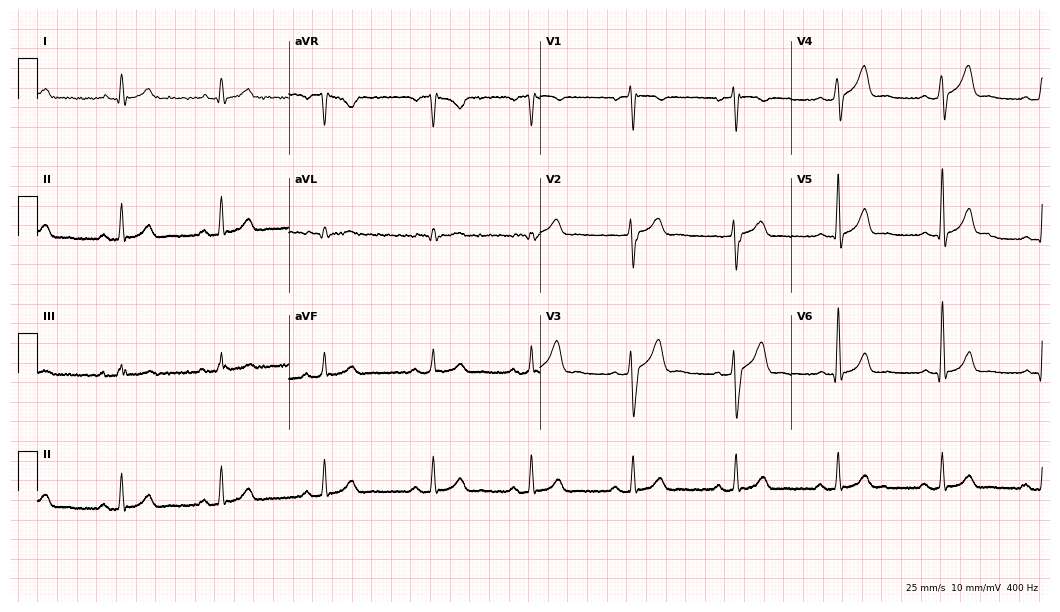
12-lead ECG from a 64-year-old male. Labelled as a normal ECG.